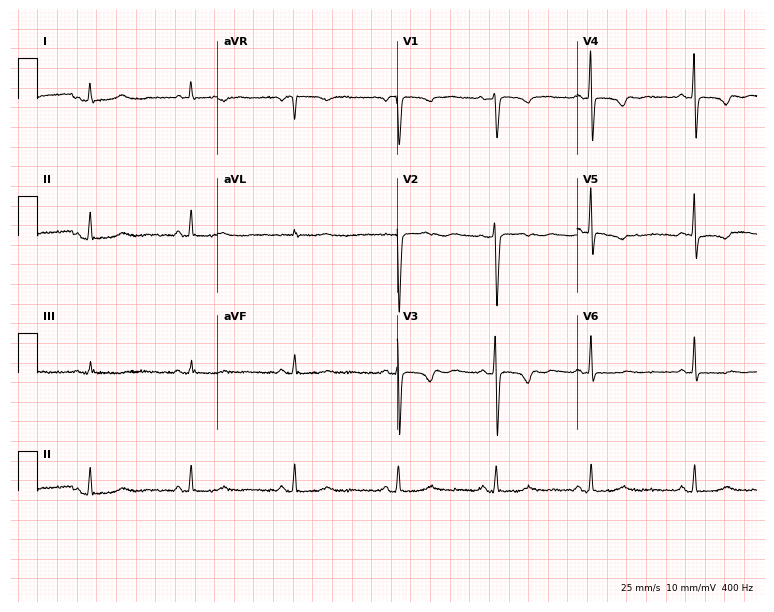
12-lead ECG from a female, 46 years old. Screened for six findings — first-degree AV block, right bundle branch block, left bundle branch block, sinus bradycardia, atrial fibrillation, sinus tachycardia — none is recorded.